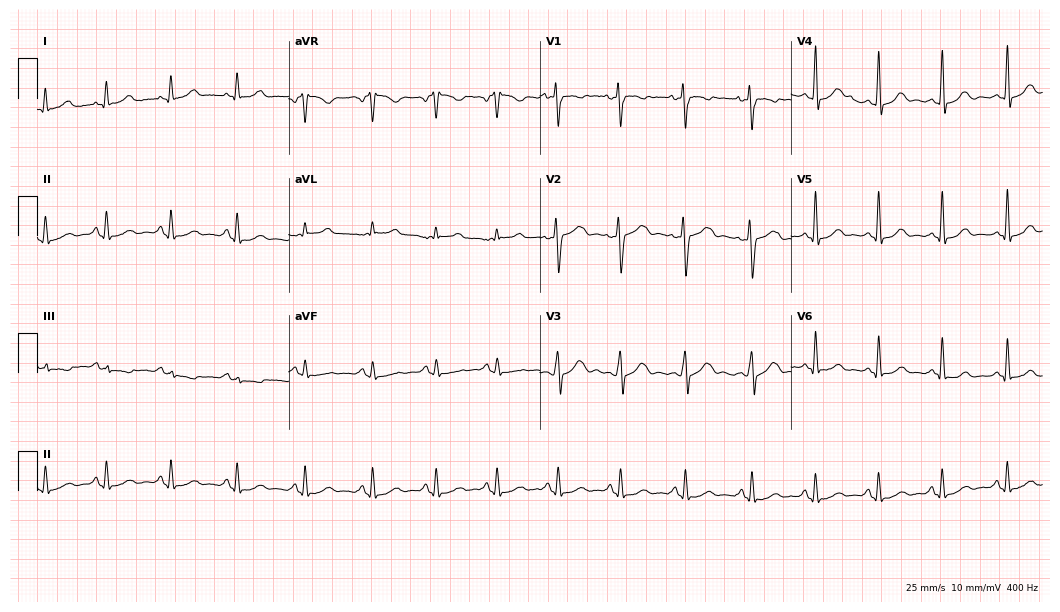
12-lead ECG (10.2-second recording at 400 Hz) from a female patient, 36 years old. Labelled as a normal ECG.